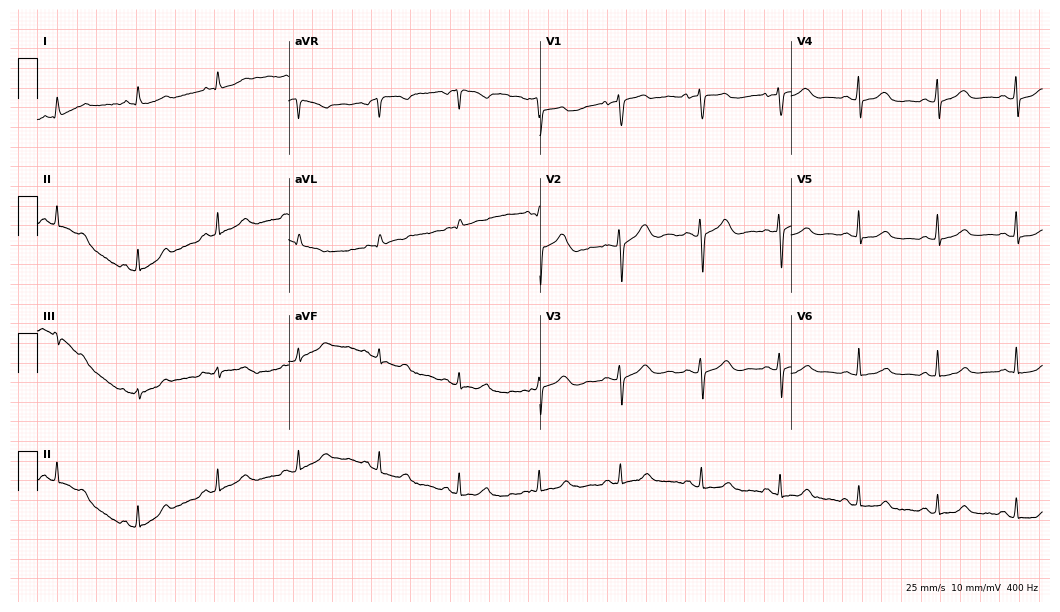
Electrocardiogram, a 55-year-old woman. Of the six screened findings (first-degree AV block, right bundle branch block, left bundle branch block, sinus bradycardia, atrial fibrillation, sinus tachycardia), none is recorded. Only these six findings were labelled.